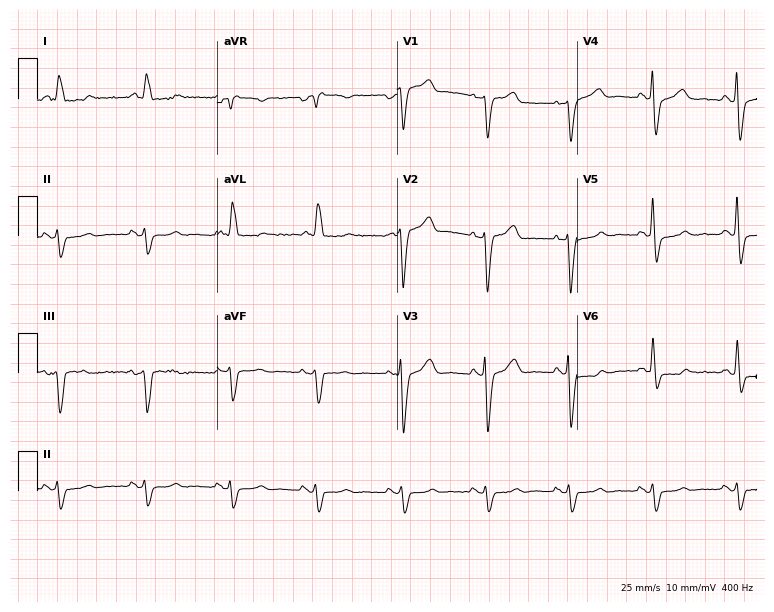
ECG — a woman, 72 years old. Findings include left bundle branch block.